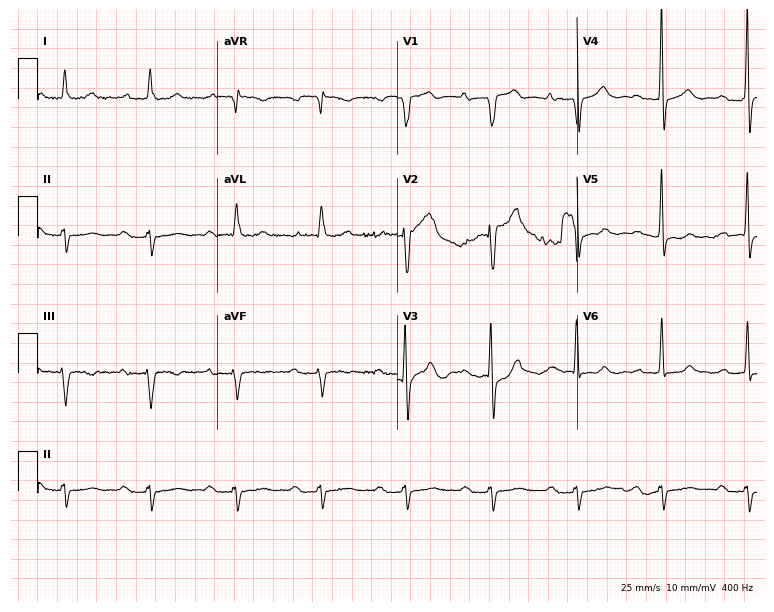
Resting 12-lead electrocardiogram. Patient: a male, 84 years old. None of these six findings is recorded: first-degree AV block, right bundle branch block, left bundle branch block, sinus bradycardia, atrial fibrillation, sinus tachycardia. Other findings, if any, are not listed.